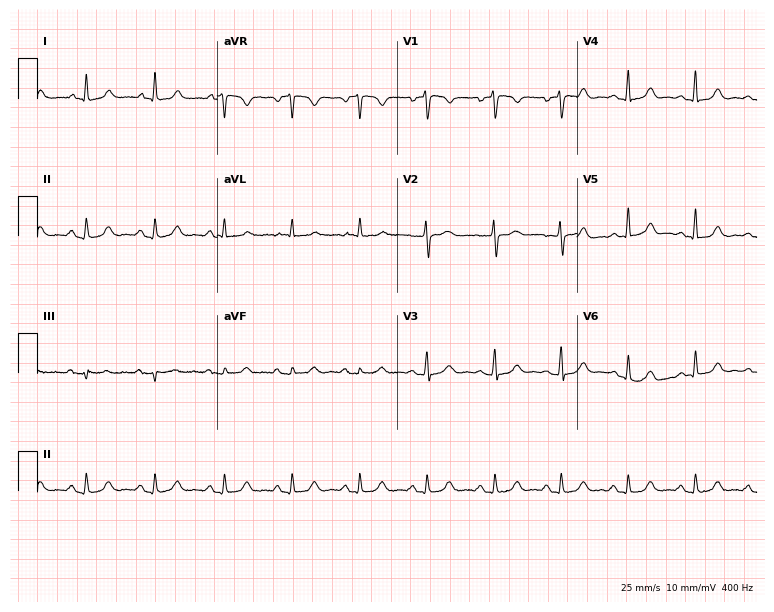
12-lead ECG from a 50-year-old female. Labelled as a normal ECG.